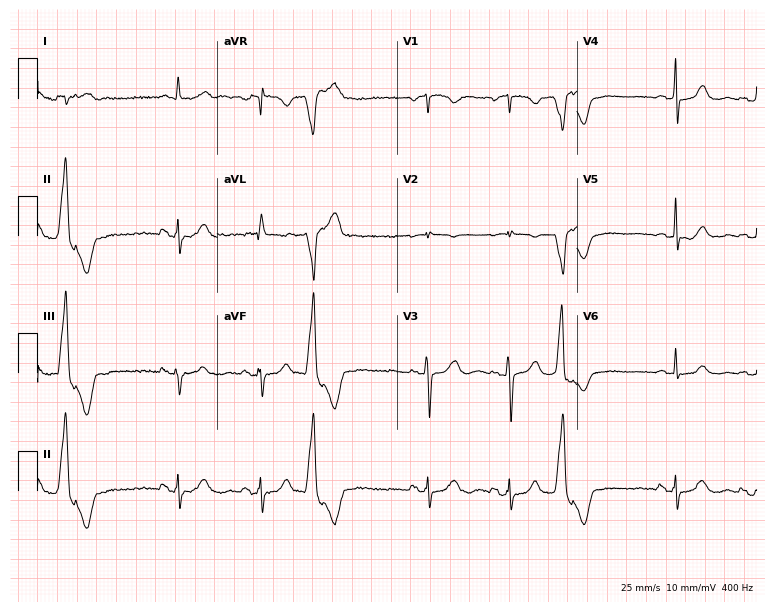
Electrocardiogram (7.3-second recording at 400 Hz), a female patient, 73 years old. Of the six screened findings (first-degree AV block, right bundle branch block (RBBB), left bundle branch block (LBBB), sinus bradycardia, atrial fibrillation (AF), sinus tachycardia), none is recorded. Only these six findings were labelled.